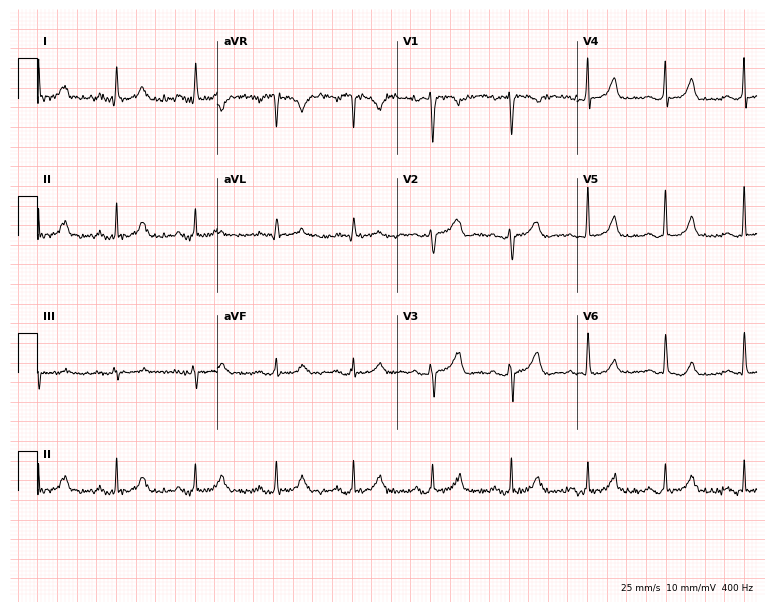
ECG — a woman, 48 years old. Labelled as a normal ECG.